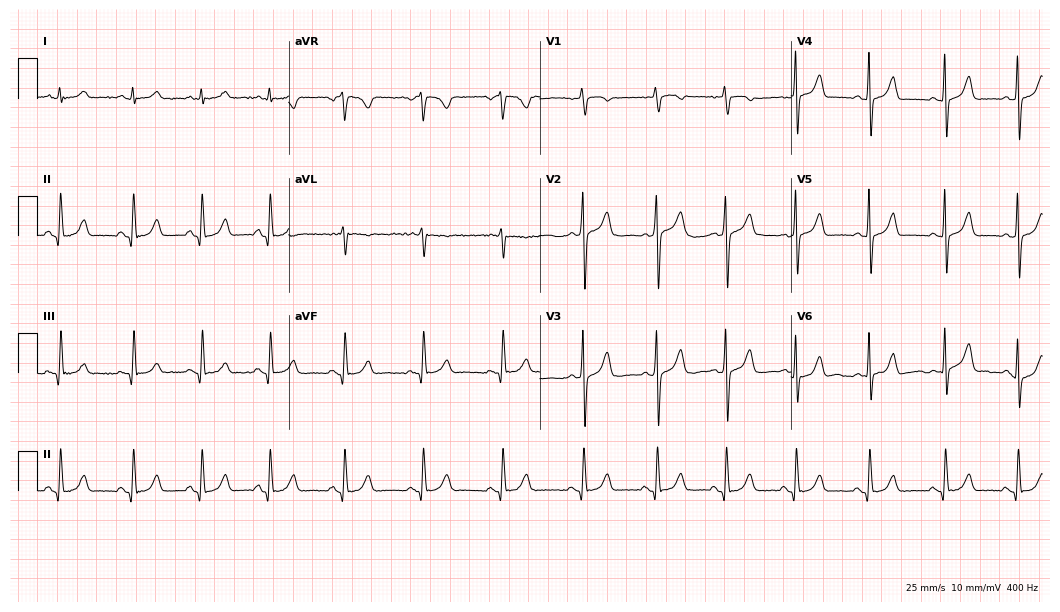
Electrocardiogram (10.2-second recording at 400 Hz), a 24-year-old woman. Overall reading on record: normal ECG.